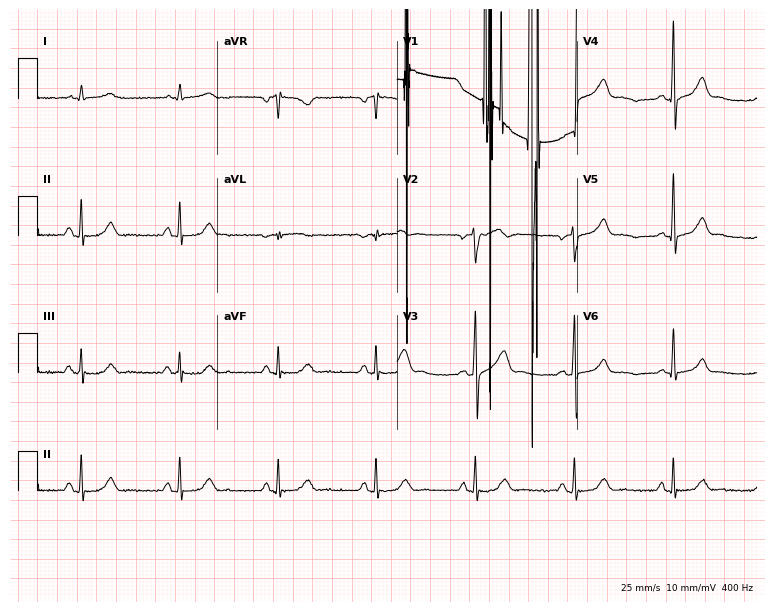
12-lead ECG (7.3-second recording at 400 Hz) from a 49-year-old male patient. Screened for six findings — first-degree AV block, right bundle branch block, left bundle branch block, sinus bradycardia, atrial fibrillation, sinus tachycardia — none is recorded.